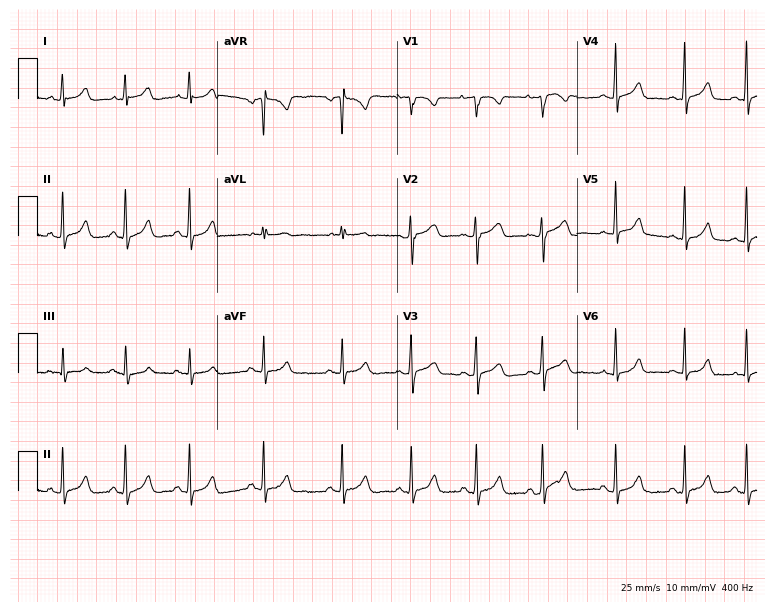
ECG — a 21-year-old female. Labelled as a normal ECG.